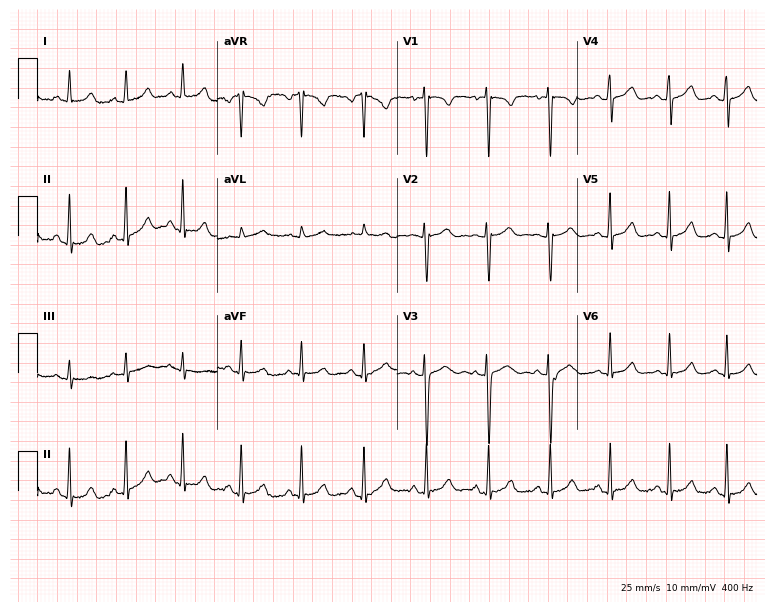
Electrocardiogram, a 24-year-old female patient. Of the six screened findings (first-degree AV block, right bundle branch block, left bundle branch block, sinus bradycardia, atrial fibrillation, sinus tachycardia), none is recorded. Only these six findings were labelled.